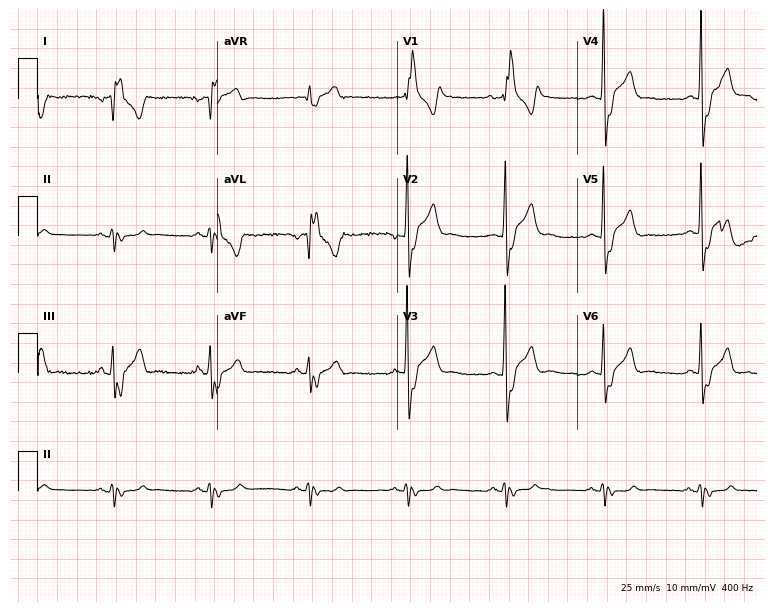
ECG (7.3-second recording at 400 Hz) — a male patient, 54 years old. Screened for six findings — first-degree AV block, right bundle branch block (RBBB), left bundle branch block (LBBB), sinus bradycardia, atrial fibrillation (AF), sinus tachycardia — none is recorded.